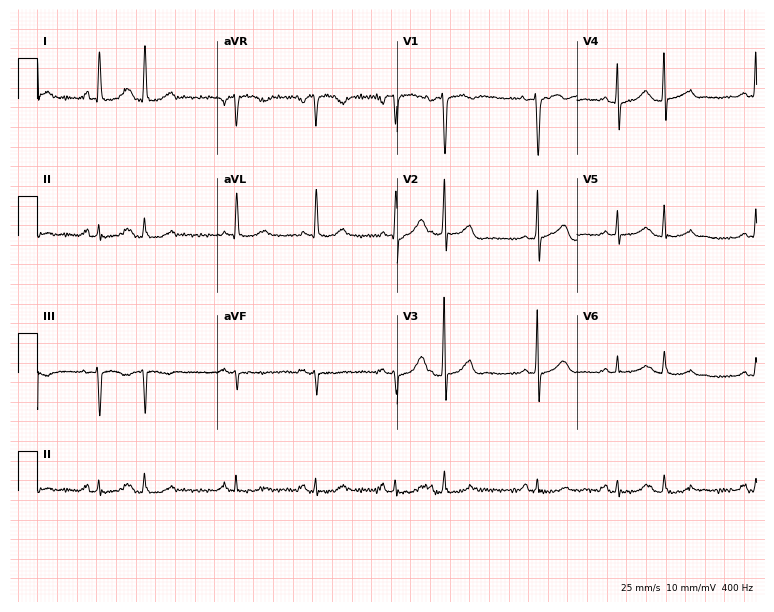
Standard 12-lead ECG recorded from a woman, 70 years old. None of these six findings is recorded: first-degree AV block, right bundle branch block (RBBB), left bundle branch block (LBBB), sinus bradycardia, atrial fibrillation (AF), sinus tachycardia. Only these six findings were labelled.